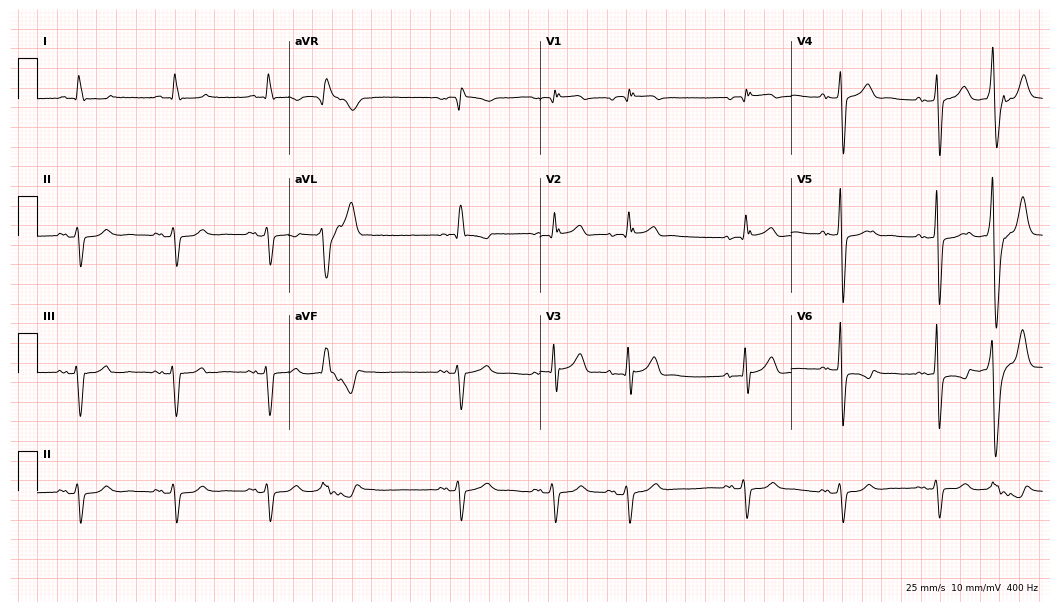
12-lead ECG from a man, 80 years old (10.2-second recording at 400 Hz). No first-degree AV block, right bundle branch block, left bundle branch block, sinus bradycardia, atrial fibrillation or sinus tachycardia recorded for this tracing. Only these six findings were labelled.